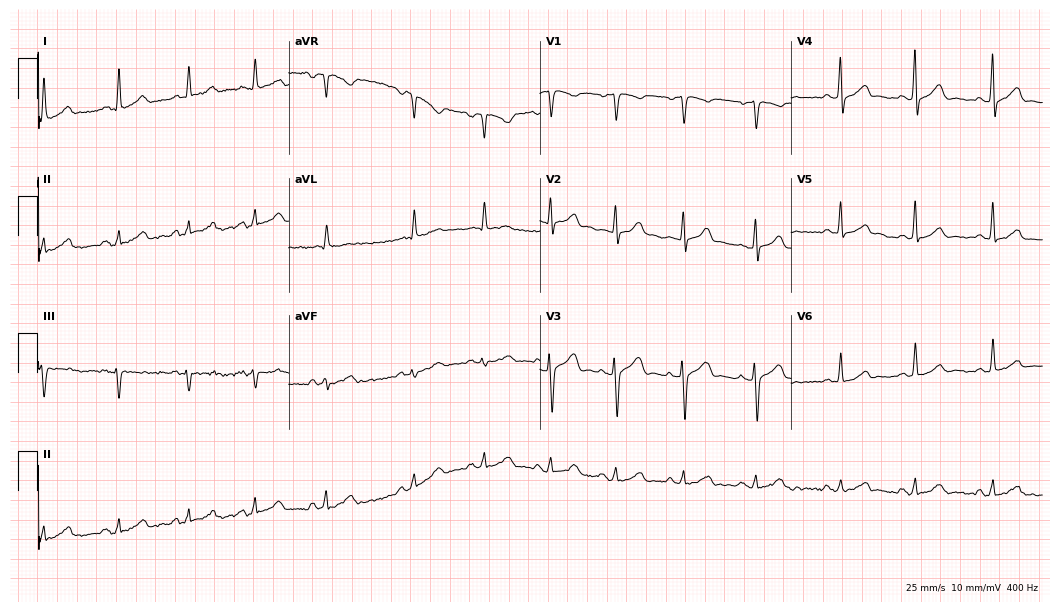
12-lead ECG from a 34-year-old female patient. Screened for six findings — first-degree AV block, right bundle branch block, left bundle branch block, sinus bradycardia, atrial fibrillation, sinus tachycardia — none is recorded.